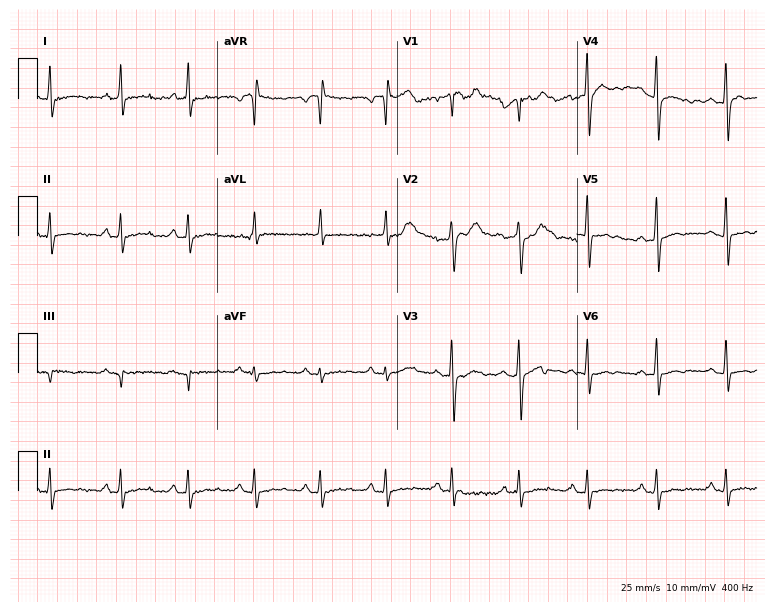
Standard 12-lead ECG recorded from a male, 43 years old (7.3-second recording at 400 Hz). None of these six findings is recorded: first-degree AV block, right bundle branch block, left bundle branch block, sinus bradycardia, atrial fibrillation, sinus tachycardia.